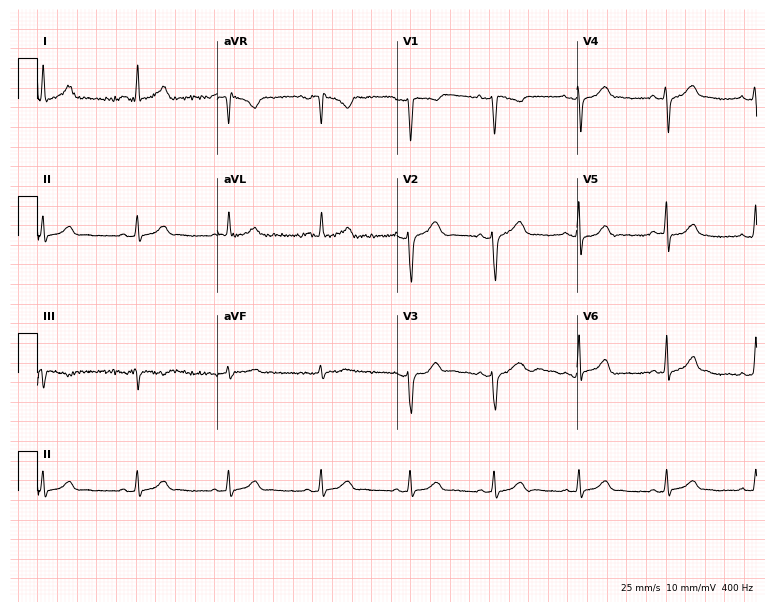
12-lead ECG (7.3-second recording at 400 Hz) from a 29-year-old woman. Labelled as a normal ECG.